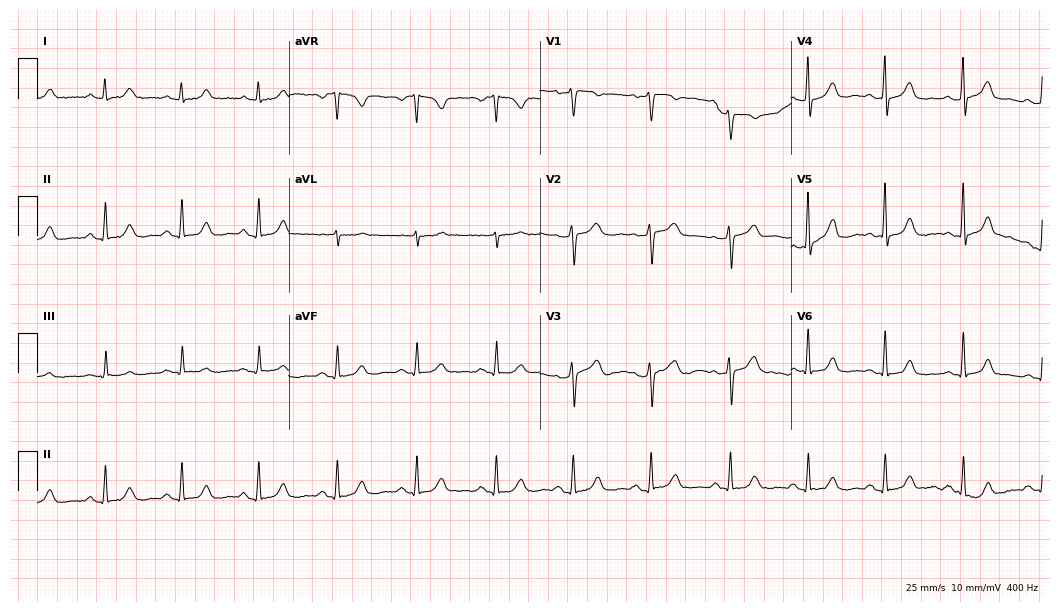
Resting 12-lead electrocardiogram (10.2-second recording at 400 Hz). Patient: a woman, 51 years old. Read as a normal ECG.